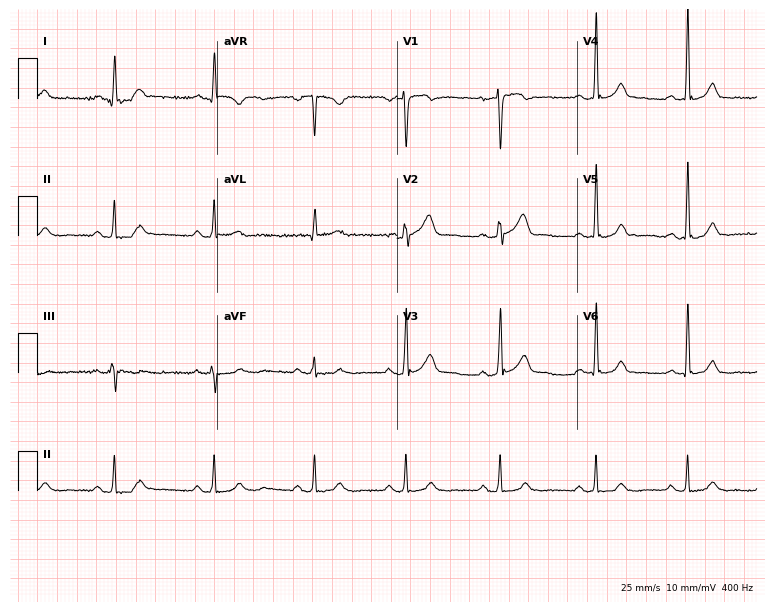
12-lead ECG from a male, 38 years old (7.3-second recording at 400 Hz). No first-degree AV block, right bundle branch block, left bundle branch block, sinus bradycardia, atrial fibrillation or sinus tachycardia recorded for this tracing. Findings outside these six are not listed.